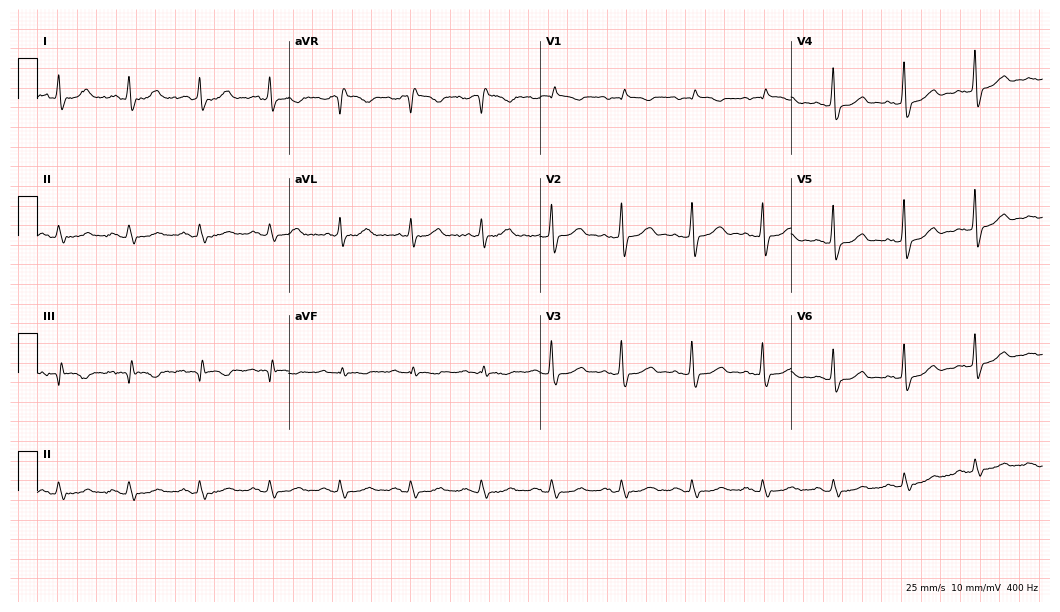
ECG — a male patient, 80 years old. Screened for six findings — first-degree AV block, right bundle branch block, left bundle branch block, sinus bradycardia, atrial fibrillation, sinus tachycardia — none is recorded.